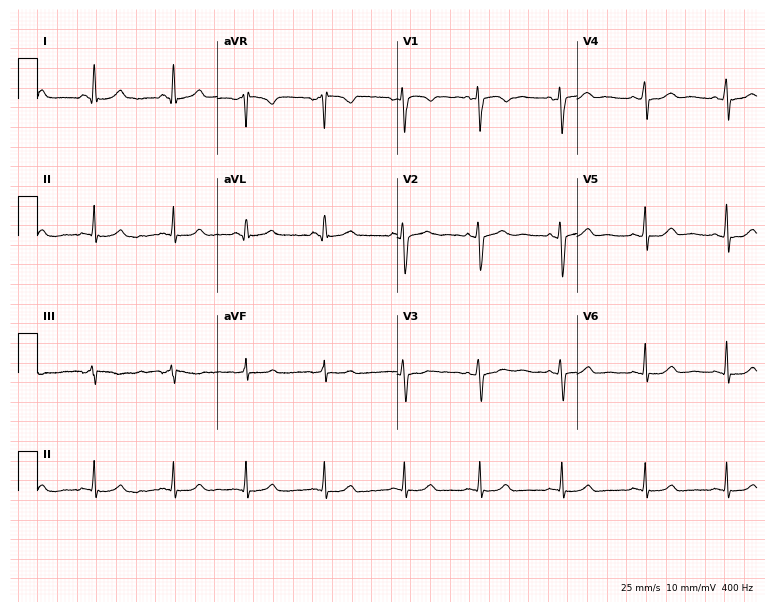
ECG (7.3-second recording at 400 Hz) — a 30-year-old female. Labelled as a normal ECG.